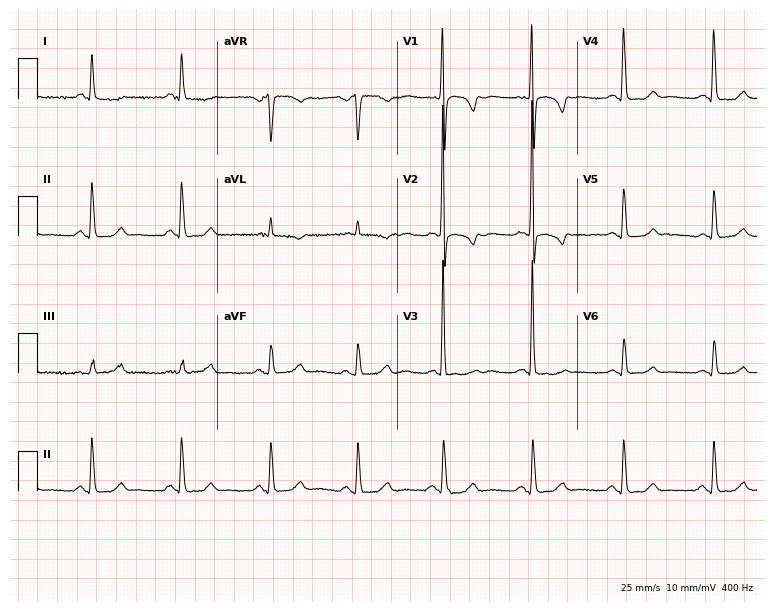
Standard 12-lead ECG recorded from a female patient, 52 years old. Read as a normal ECG.